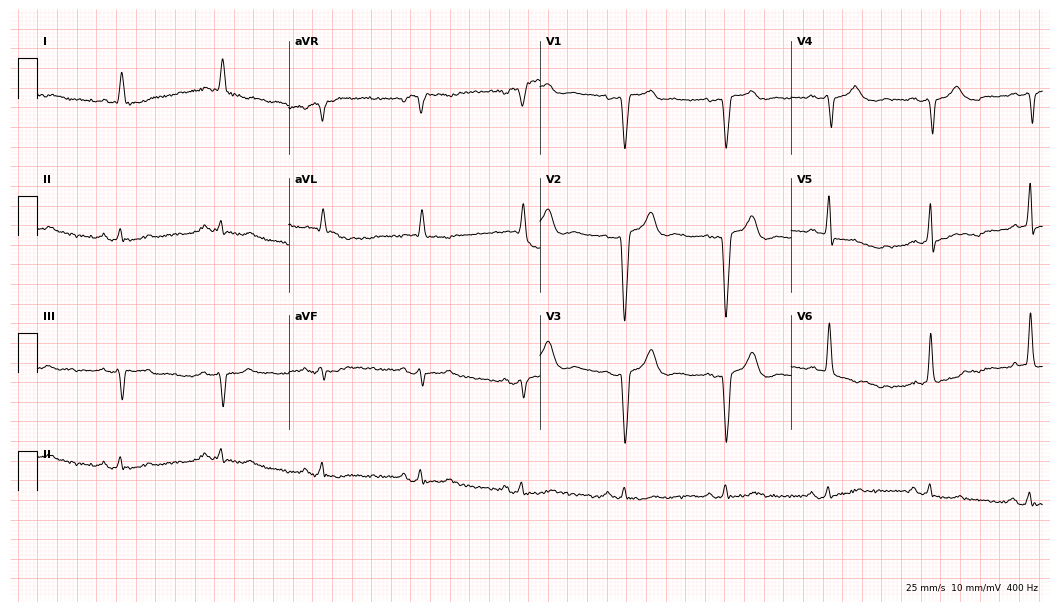
12-lead ECG from an 81-year-old man (10.2-second recording at 400 Hz). No first-degree AV block, right bundle branch block (RBBB), left bundle branch block (LBBB), sinus bradycardia, atrial fibrillation (AF) or sinus tachycardia recorded for this tracing.